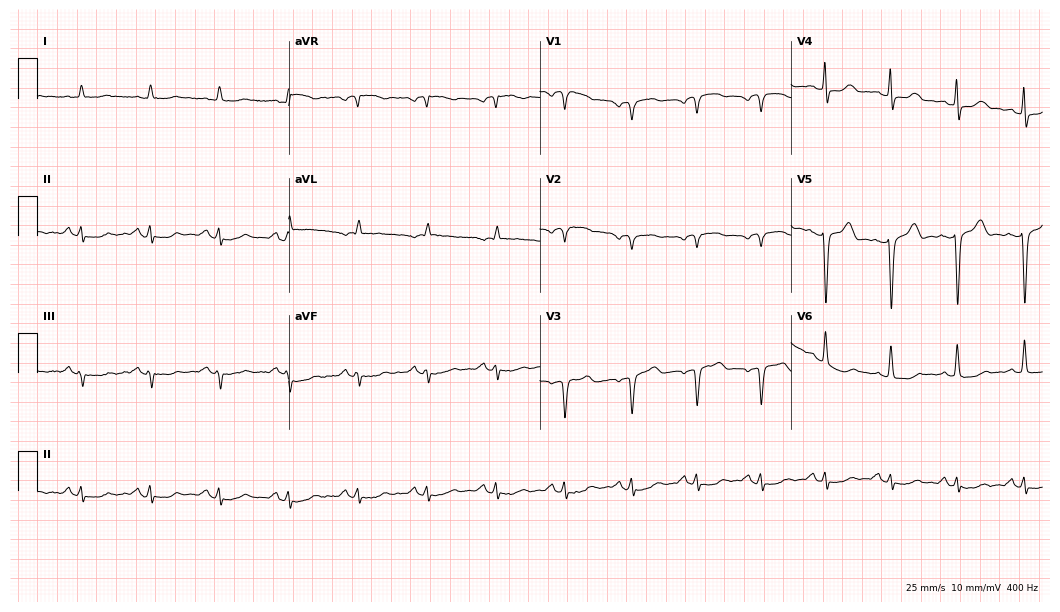
Resting 12-lead electrocardiogram. Patient: a man, 69 years old. None of these six findings is recorded: first-degree AV block, right bundle branch block (RBBB), left bundle branch block (LBBB), sinus bradycardia, atrial fibrillation (AF), sinus tachycardia. Findings outside these six are not listed.